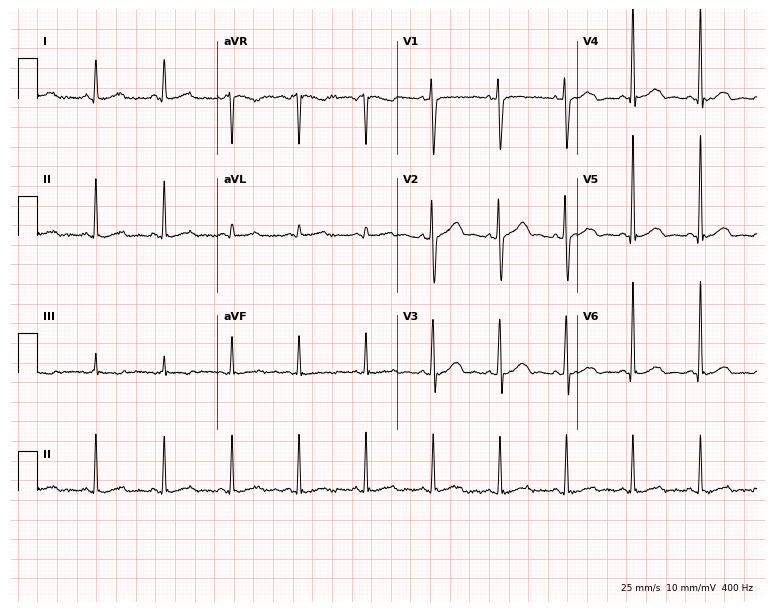
12-lead ECG from a female, 64 years old (7.3-second recording at 400 Hz). No first-degree AV block, right bundle branch block, left bundle branch block, sinus bradycardia, atrial fibrillation or sinus tachycardia recorded for this tracing.